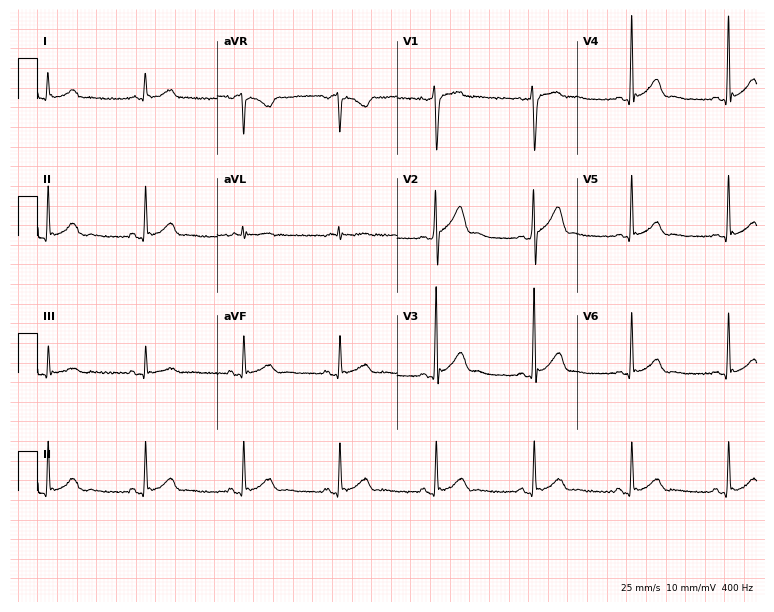
12-lead ECG from a 36-year-old male patient. Recorded interpretation: within normal limits.